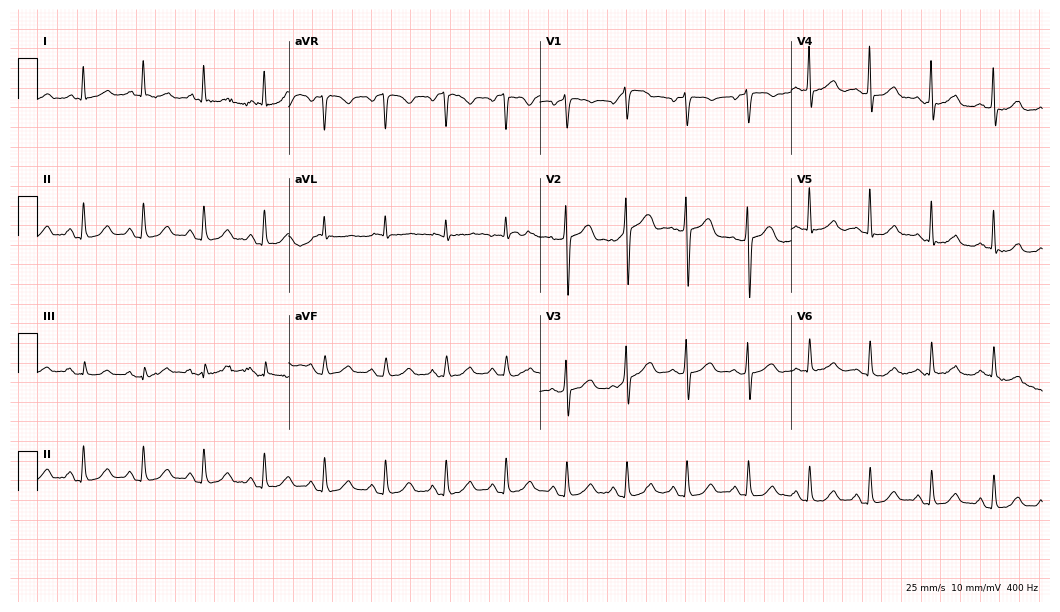
Standard 12-lead ECG recorded from a 66-year-old female patient. None of these six findings is recorded: first-degree AV block, right bundle branch block, left bundle branch block, sinus bradycardia, atrial fibrillation, sinus tachycardia.